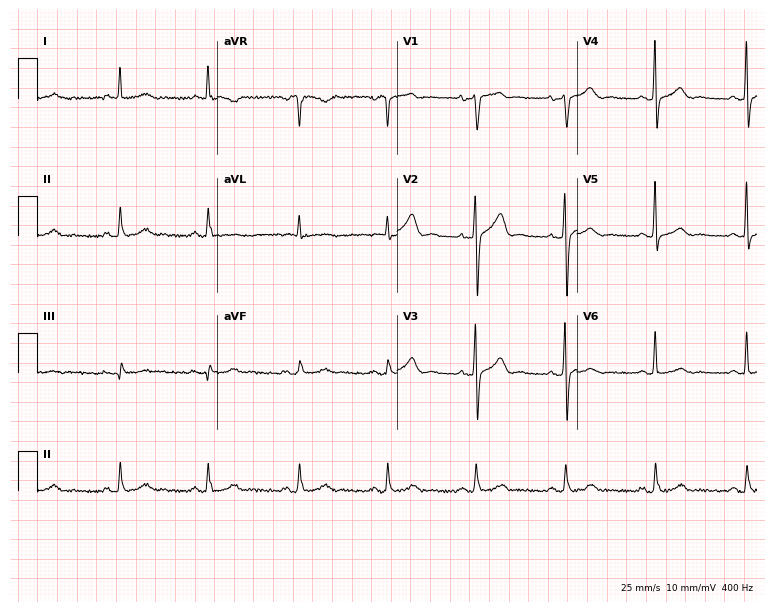
12-lead ECG from a male patient, 43 years old (7.3-second recording at 400 Hz). Recorded interpretation: within normal limits.